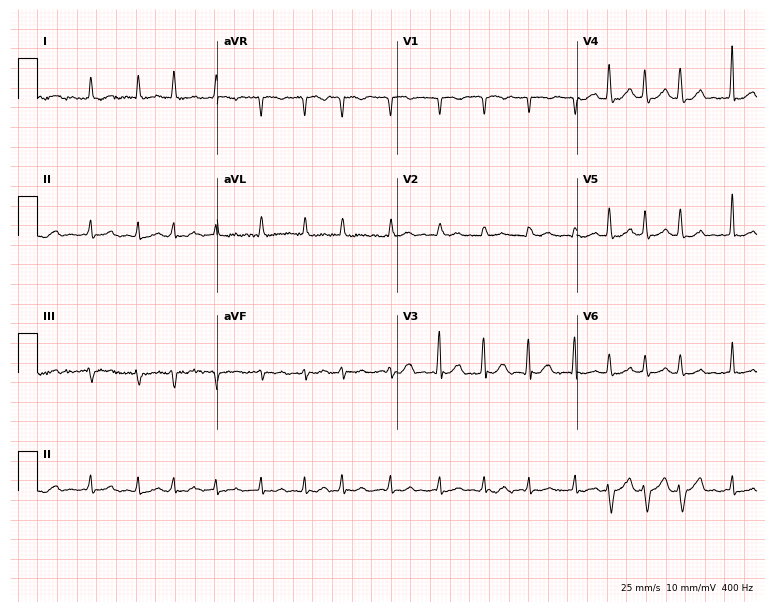
Standard 12-lead ECG recorded from a male, 84 years old. The tracing shows atrial fibrillation.